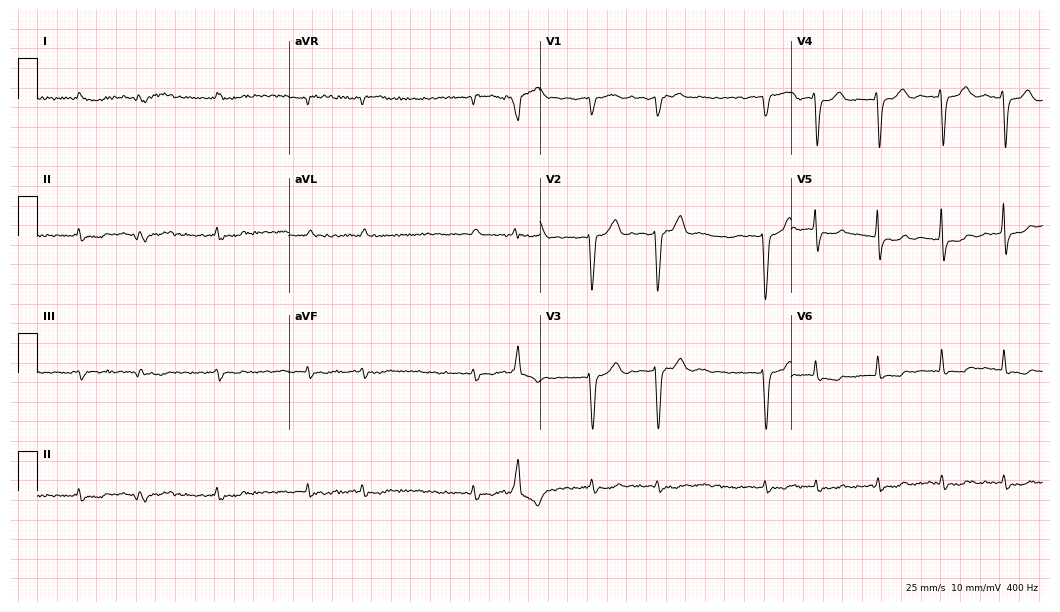
12-lead ECG from an 82-year-old male patient. Findings include atrial fibrillation.